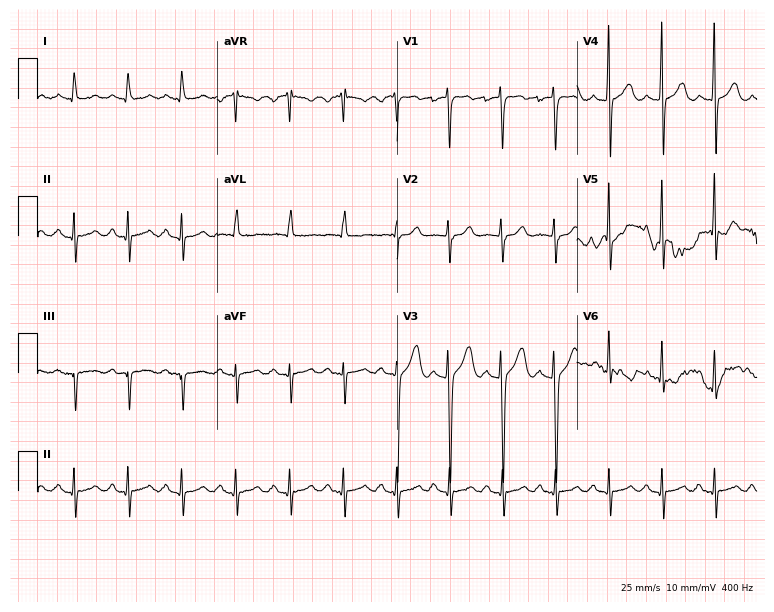
Electrocardiogram, a man, 30 years old. Interpretation includes sinus tachycardia (a sinus rate of 100 beats per minute or more).